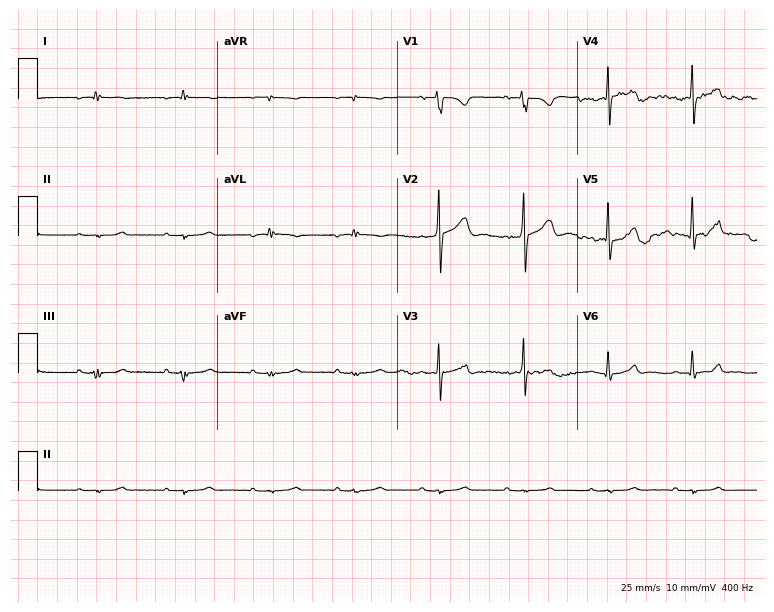
Resting 12-lead electrocardiogram. Patient: a 60-year-old male. None of these six findings is recorded: first-degree AV block, right bundle branch block, left bundle branch block, sinus bradycardia, atrial fibrillation, sinus tachycardia. Only these six findings were labelled.